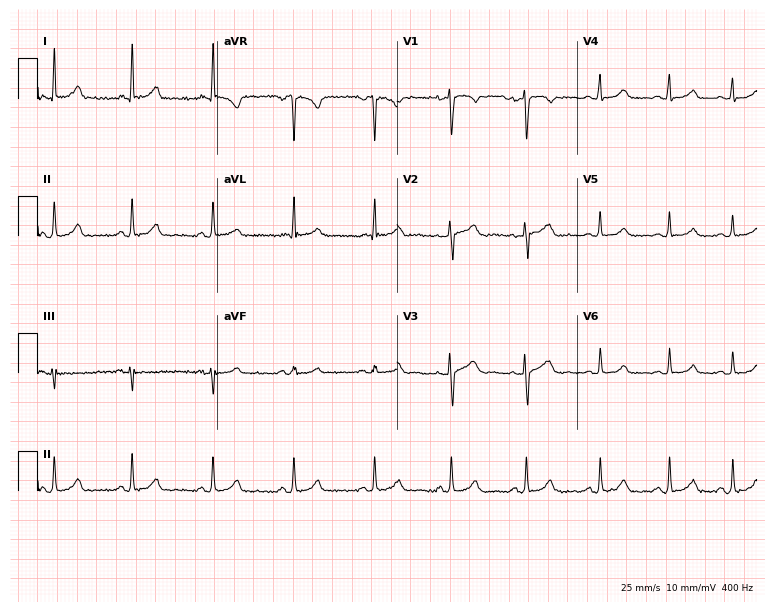
Standard 12-lead ECG recorded from a 46-year-old woman. Read as a normal ECG.